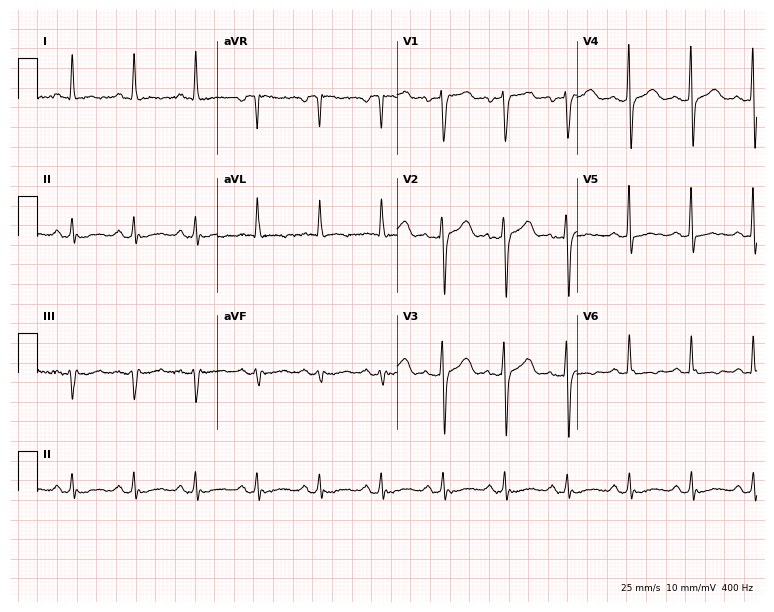
ECG — a 57-year-old woman. Screened for six findings — first-degree AV block, right bundle branch block (RBBB), left bundle branch block (LBBB), sinus bradycardia, atrial fibrillation (AF), sinus tachycardia — none is recorded.